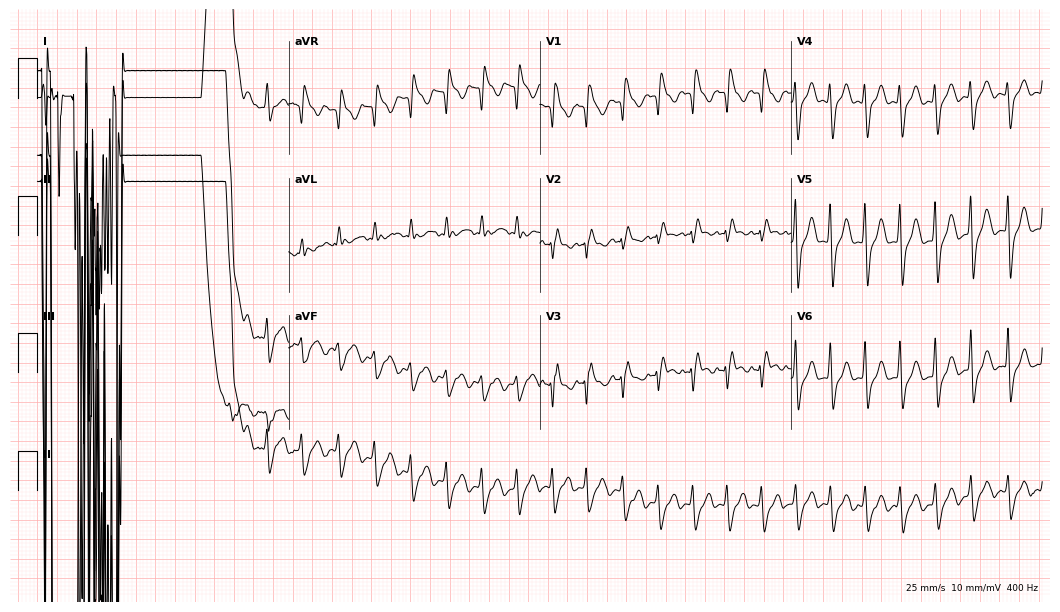
Electrocardiogram (10.2-second recording at 400 Hz), a 38-year-old male patient. Of the six screened findings (first-degree AV block, right bundle branch block, left bundle branch block, sinus bradycardia, atrial fibrillation, sinus tachycardia), none is recorded. Other findings, if any, are not listed.